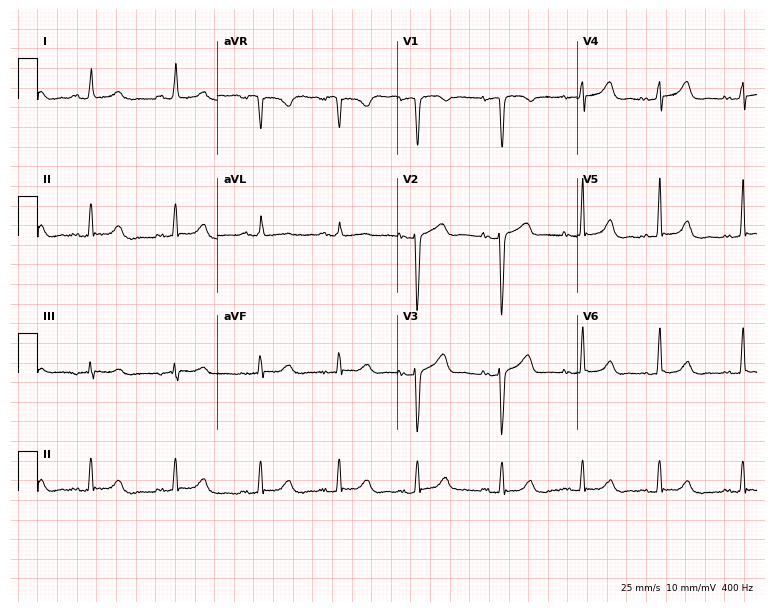
Standard 12-lead ECG recorded from a 36-year-old woman. None of these six findings is recorded: first-degree AV block, right bundle branch block, left bundle branch block, sinus bradycardia, atrial fibrillation, sinus tachycardia. Only these six findings were labelled.